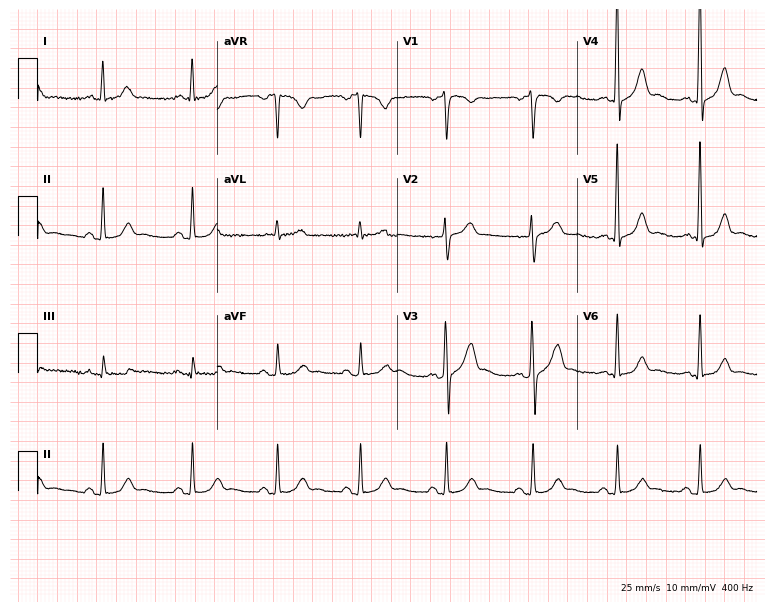
12-lead ECG from a 41-year-old male (7.3-second recording at 400 Hz). Recorded interpretation: within normal limits.